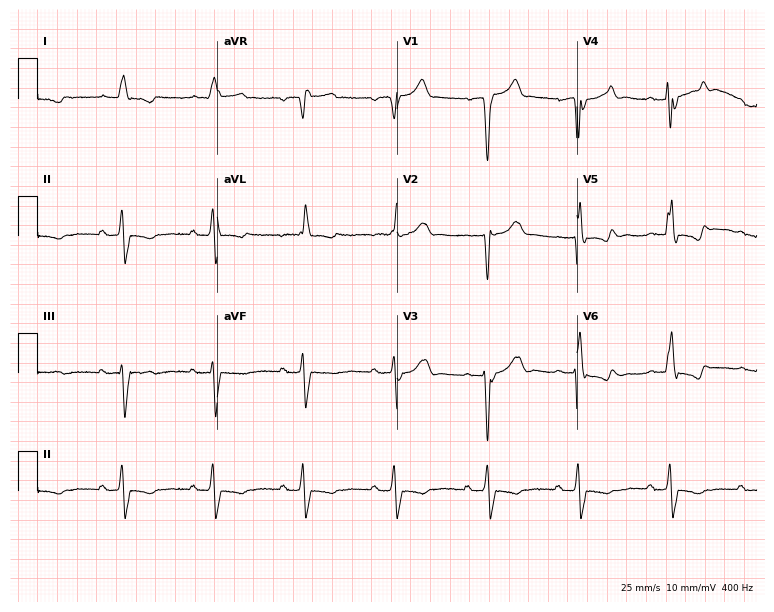
12-lead ECG from a man, 76 years old. Findings include left bundle branch block (LBBB).